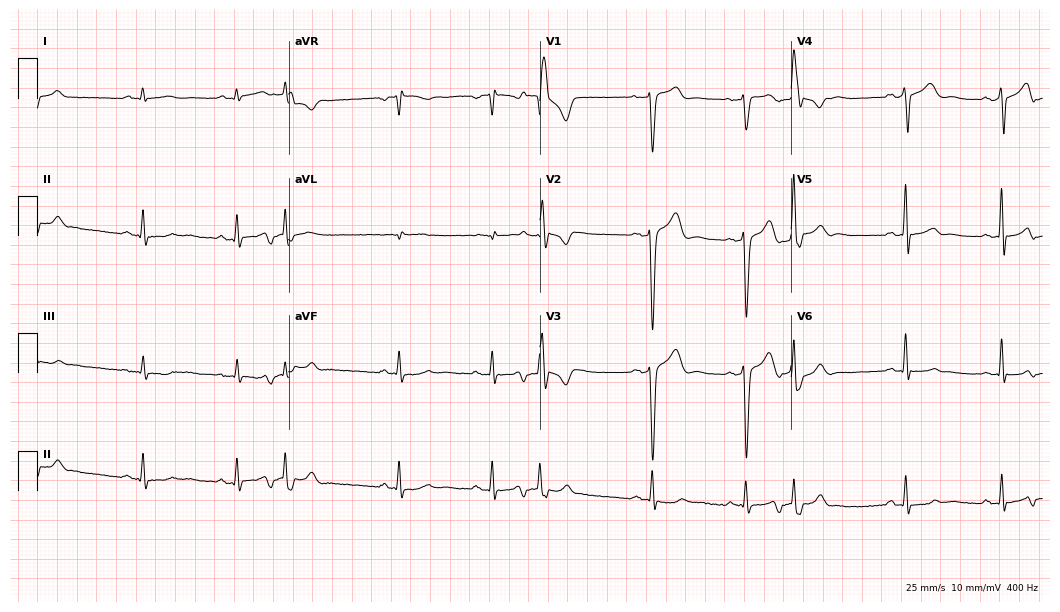
Resting 12-lead electrocardiogram (10.2-second recording at 400 Hz). Patient: a 41-year-old man. None of these six findings is recorded: first-degree AV block, right bundle branch block, left bundle branch block, sinus bradycardia, atrial fibrillation, sinus tachycardia.